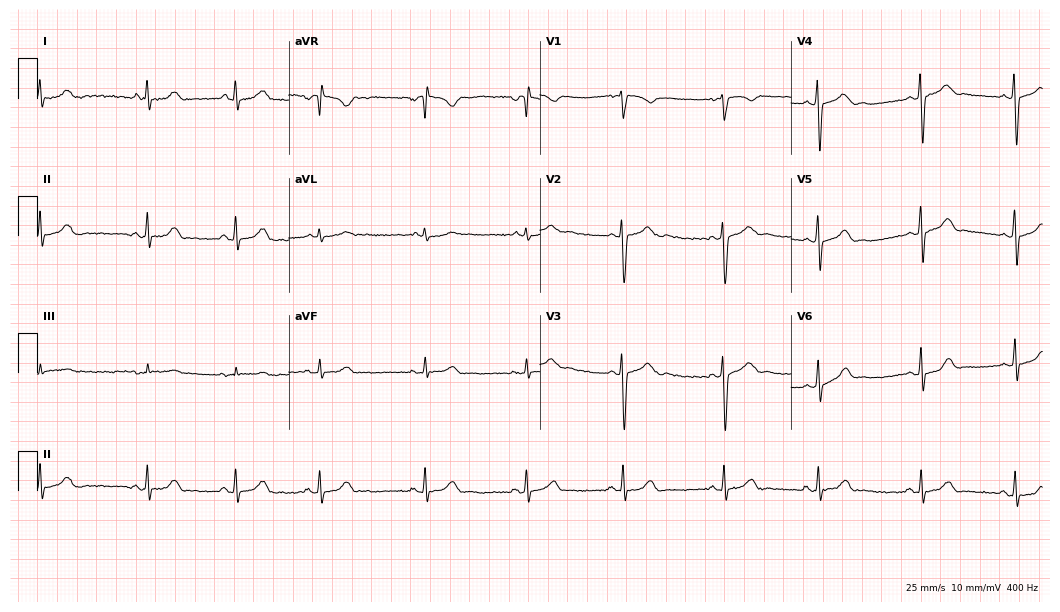
Standard 12-lead ECG recorded from a 17-year-old female (10.2-second recording at 400 Hz). Read as a normal ECG.